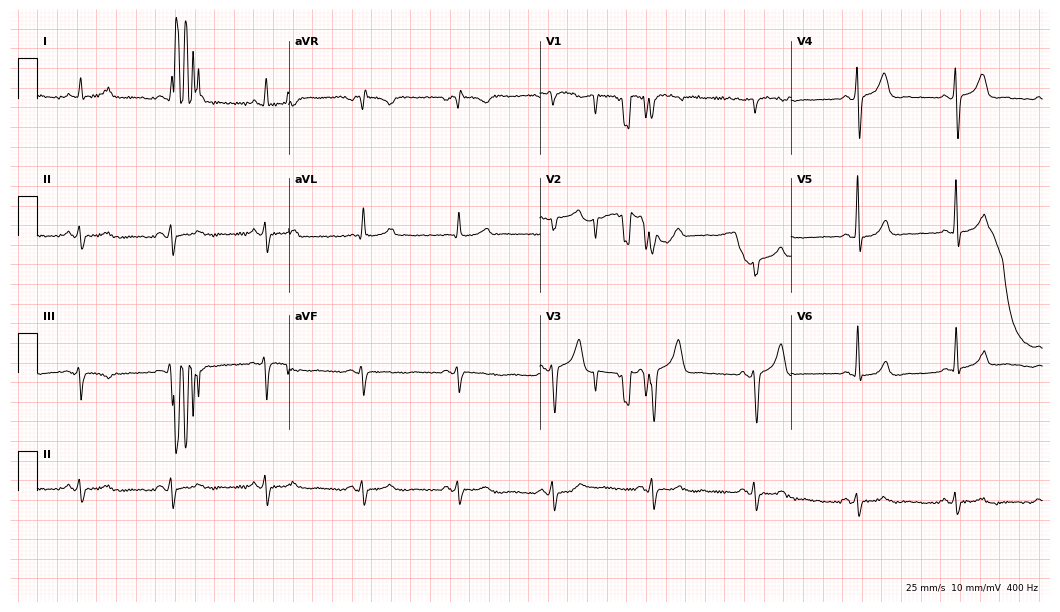
12-lead ECG from a man, 40 years old (10.2-second recording at 400 Hz). No first-degree AV block, right bundle branch block, left bundle branch block, sinus bradycardia, atrial fibrillation or sinus tachycardia recorded for this tracing. Only these six findings were labelled.